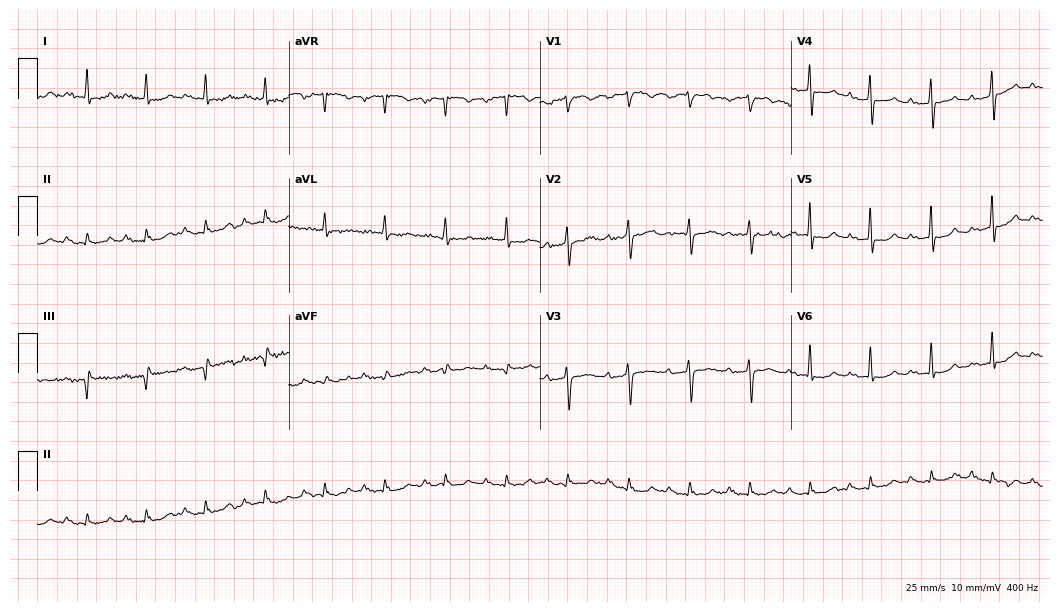
12-lead ECG from a 48-year-old male. No first-degree AV block, right bundle branch block, left bundle branch block, sinus bradycardia, atrial fibrillation or sinus tachycardia recorded for this tracing.